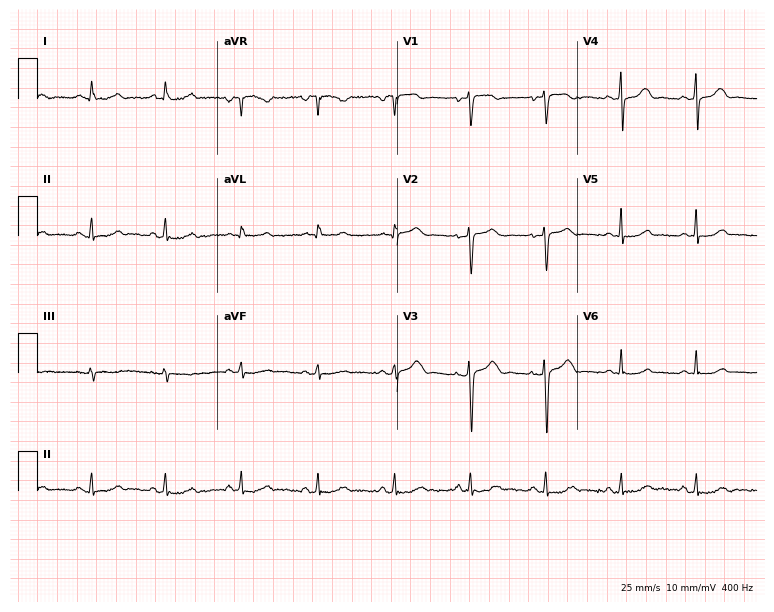
Electrocardiogram, a 48-year-old woman. Of the six screened findings (first-degree AV block, right bundle branch block, left bundle branch block, sinus bradycardia, atrial fibrillation, sinus tachycardia), none is recorded.